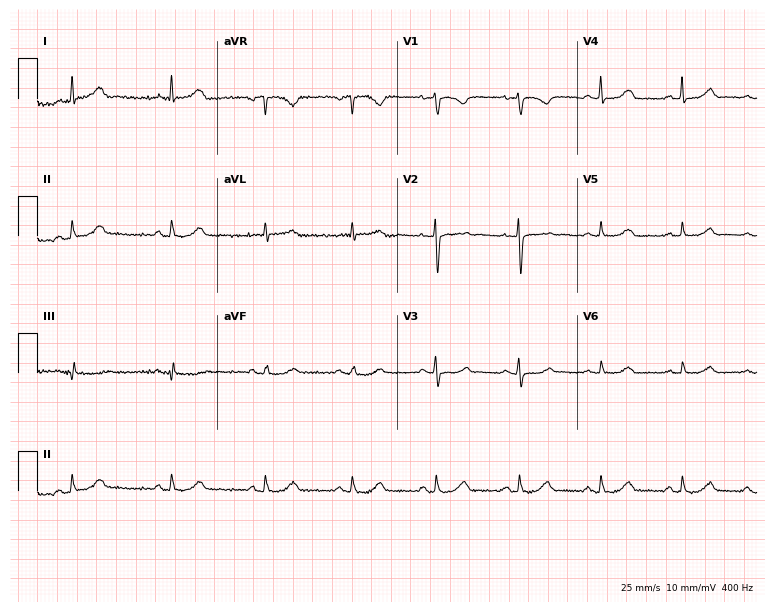
Resting 12-lead electrocardiogram (7.3-second recording at 400 Hz). Patient: a female, 50 years old. None of these six findings is recorded: first-degree AV block, right bundle branch block, left bundle branch block, sinus bradycardia, atrial fibrillation, sinus tachycardia.